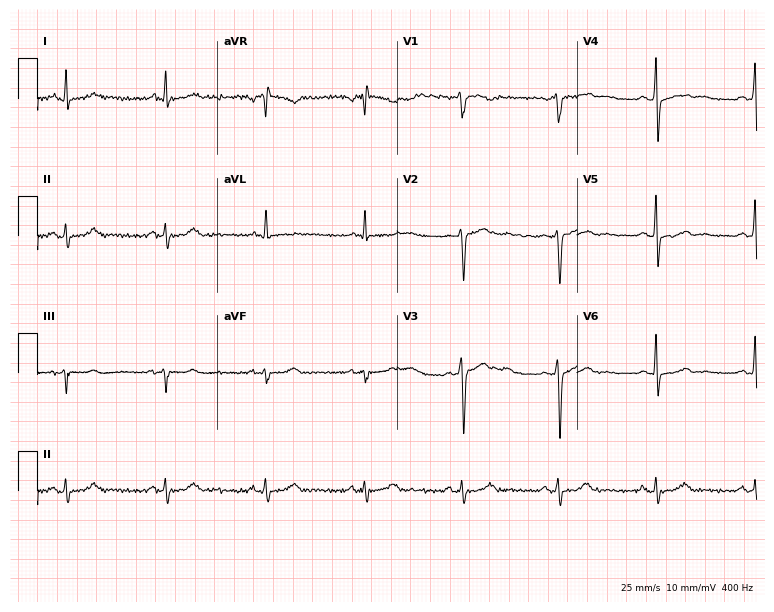
Standard 12-lead ECG recorded from a 44-year-old man. Read as a normal ECG.